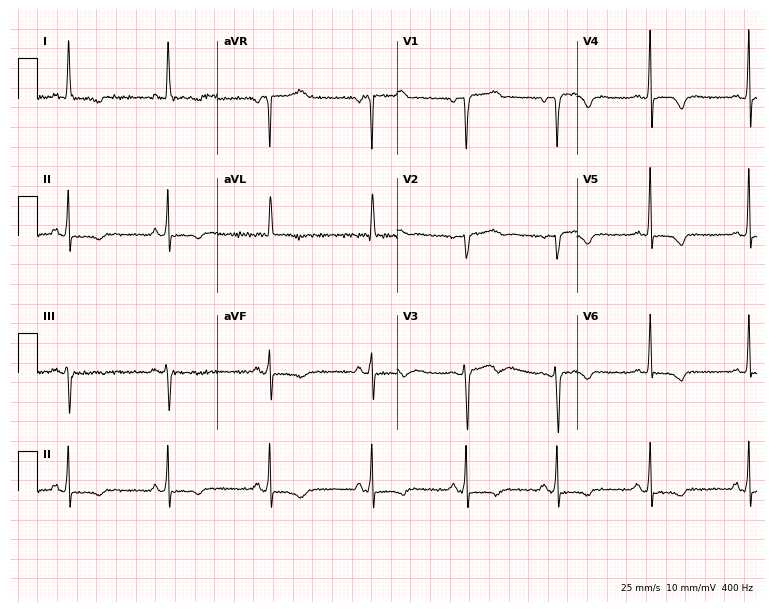
12-lead ECG from a 66-year-old female. Screened for six findings — first-degree AV block, right bundle branch block (RBBB), left bundle branch block (LBBB), sinus bradycardia, atrial fibrillation (AF), sinus tachycardia — none is recorded. Only these six findings were labelled.